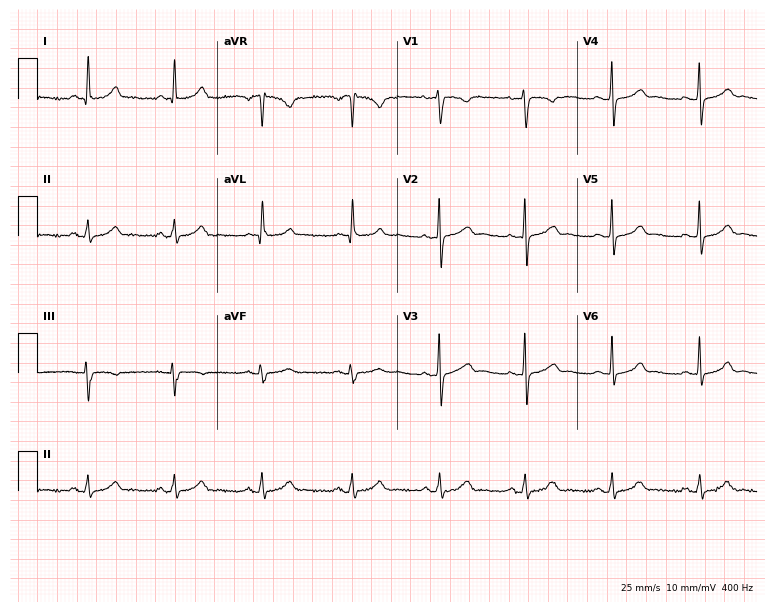
12-lead ECG from a female patient, 51 years old. Screened for six findings — first-degree AV block, right bundle branch block, left bundle branch block, sinus bradycardia, atrial fibrillation, sinus tachycardia — none is recorded. Findings outside these six are not listed.